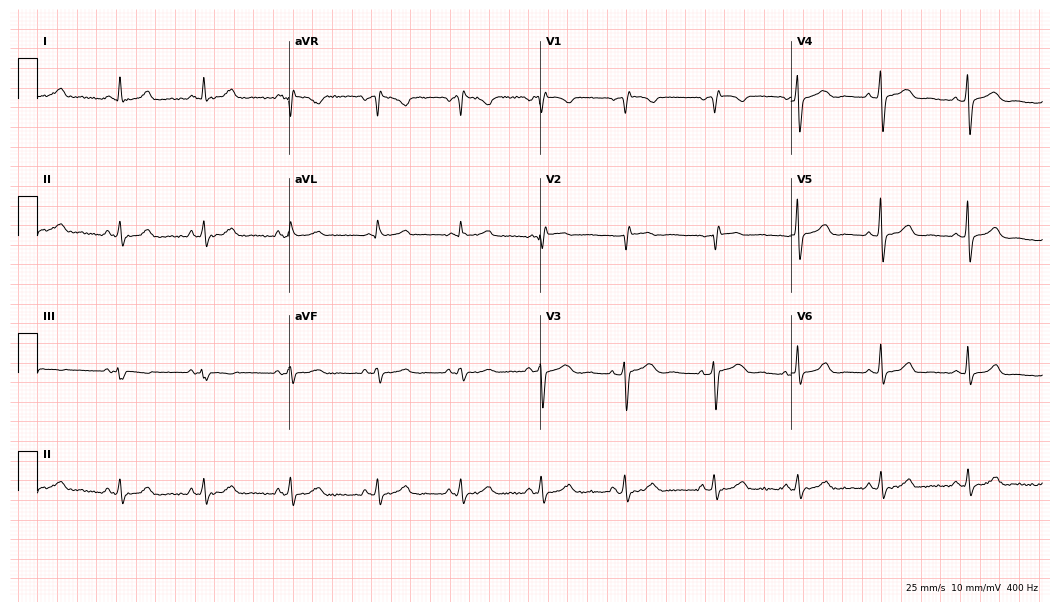
12-lead ECG (10.2-second recording at 400 Hz) from a woman, 57 years old. Screened for six findings — first-degree AV block, right bundle branch block, left bundle branch block, sinus bradycardia, atrial fibrillation, sinus tachycardia — none is recorded.